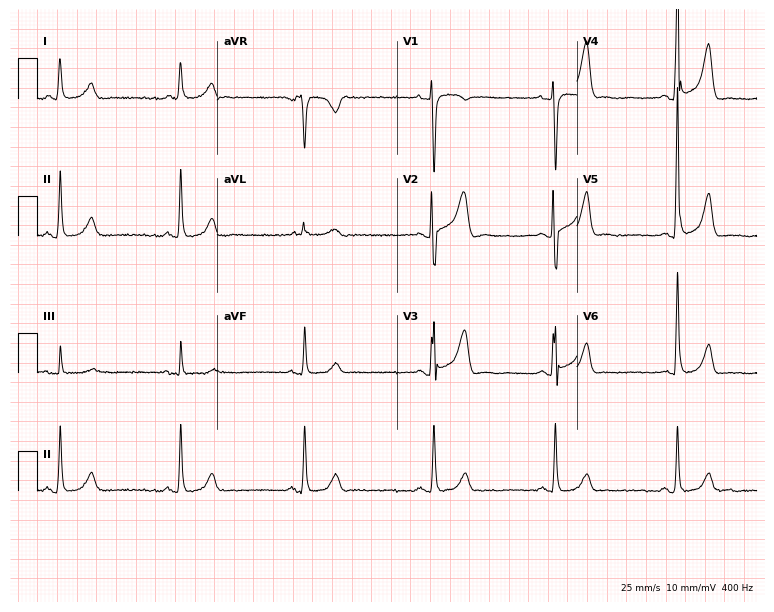
Resting 12-lead electrocardiogram (7.3-second recording at 400 Hz). Patient: a 53-year-old male. The tracing shows sinus bradycardia (a sinus rate of 50 beats per minute or less).